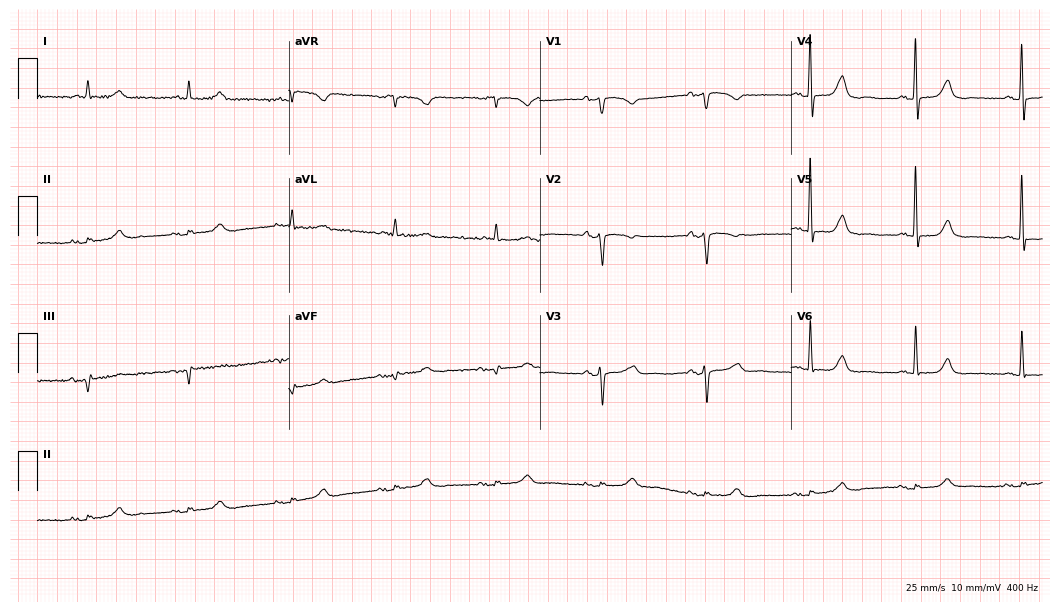
Resting 12-lead electrocardiogram (10.2-second recording at 400 Hz). Patient: a female, 79 years old. None of these six findings is recorded: first-degree AV block, right bundle branch block, left bundle branch block, sinus bradycardia, atrial fibrillation, sinus tachycardia. Other findings, if any, are not listed.